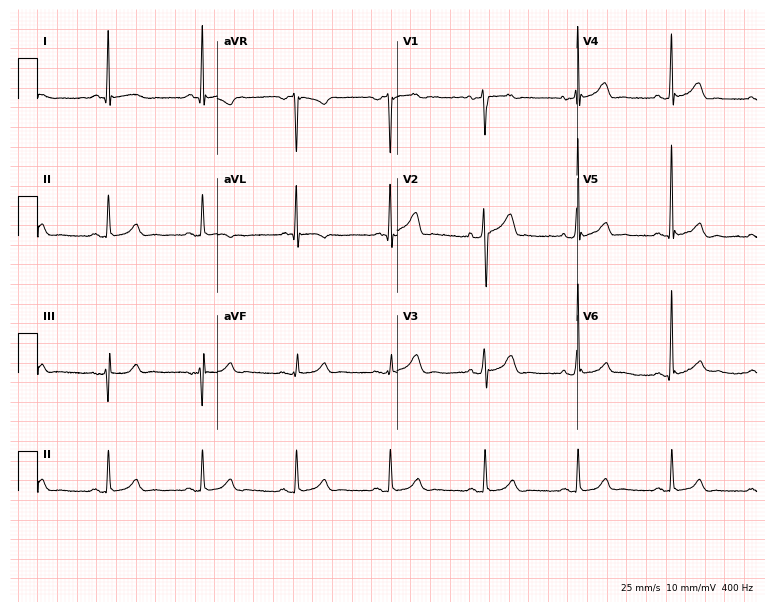
Standard 12-lead ECG recorded from a male, 58 years old. Read as a normal ECG.